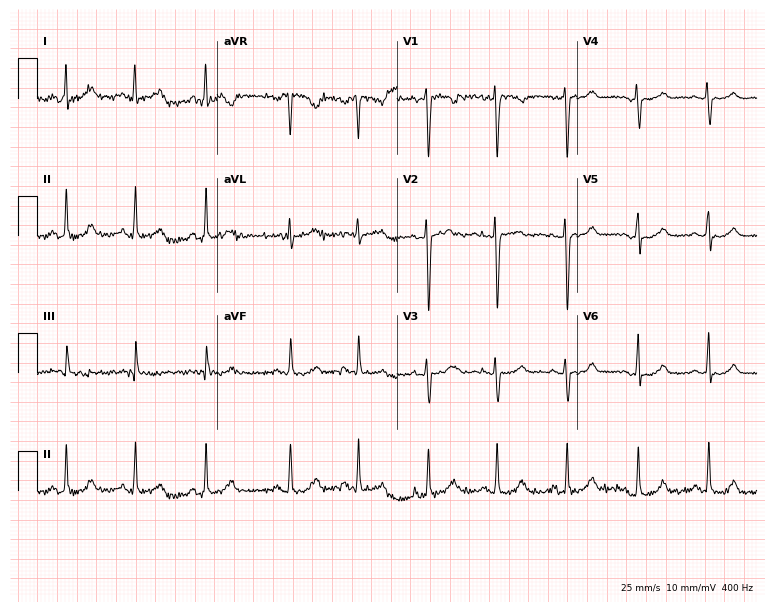
ECG — a 44-year-old female patient. Labelled as a normal ECG.